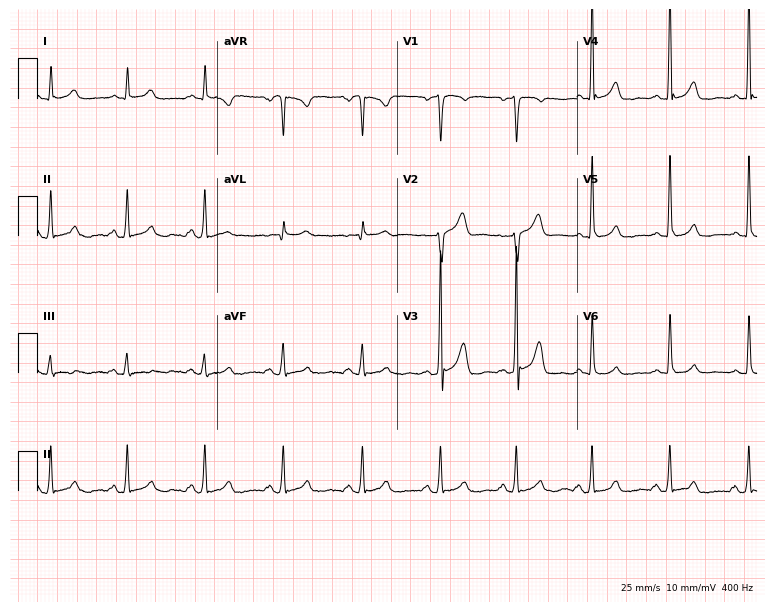
Electrocardiogram (7.3-second recording at 400 Hz), a male patient, 47 years old. Overall reading on record: normal ECG.